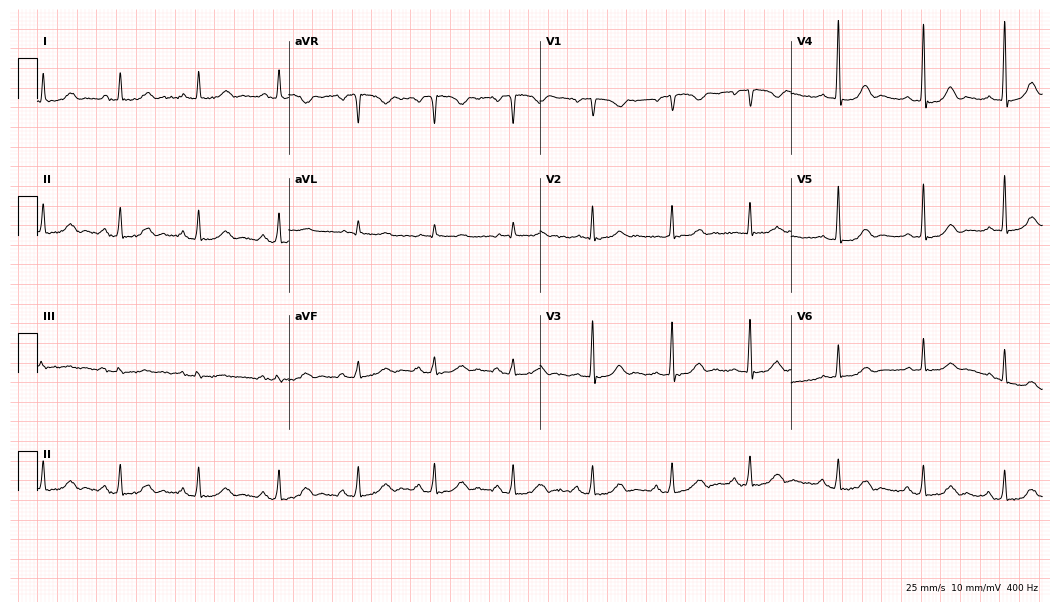
Standard 12-lead ECG recorded from a 68-year-old woman. None of these six findings is recorded: first-degree AV block, right bundle branch block, left bundle branch block, sinus bradycardia, atrial fibrillation, sinus tachycardia. Other findings, if any, are not listed.